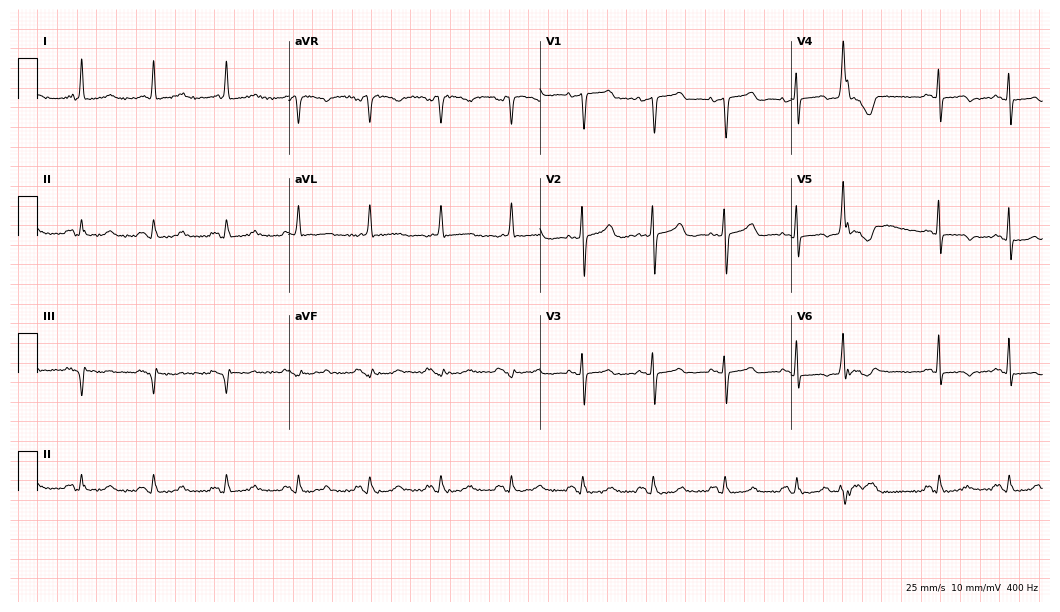
ECG (10.2-second recording at 400 Hz) — a female patient aged 90 or older. Screened for six findings — first-degree AV block, right bundle branch block (RBBB), left bundle branch block (LBBB), sinus bradycardia, atrial fibrillation (AF), sinus tachycardia — none is recorded. Other findings, if any, are not listed.